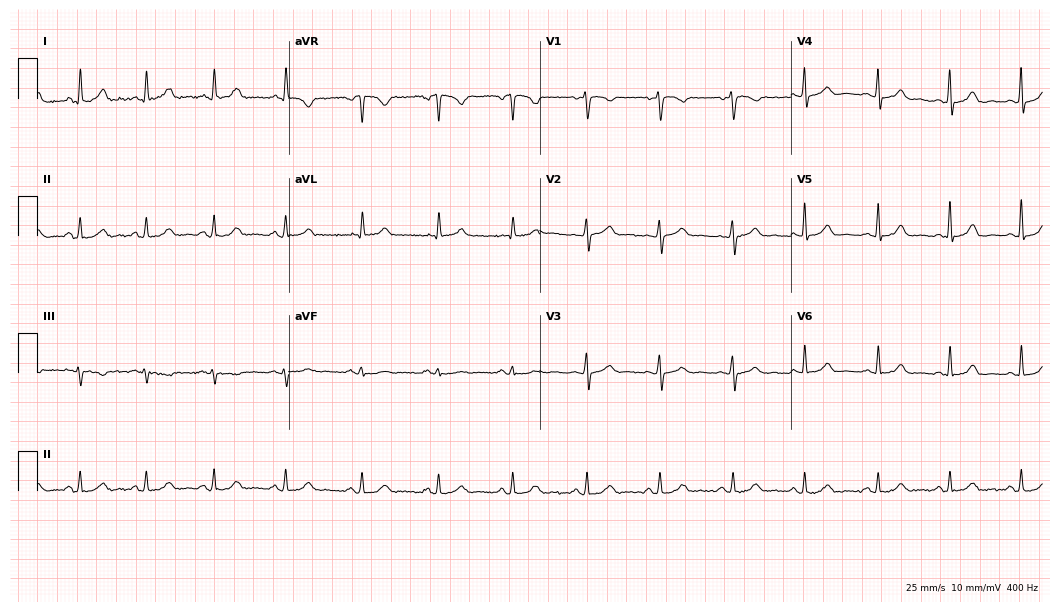
ECG (10.2-second recording at 400 Hz) — a 38-year-old female. Labelled as a normal ECG.